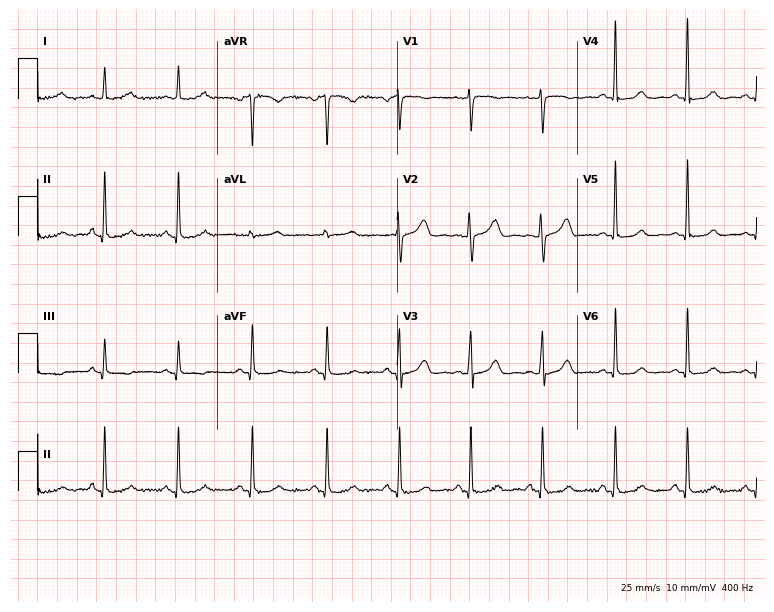
Electrocardiogram (7.3-second recording at 400 Hz), a female, 46 years old. Overall reading on record: normal ECG.